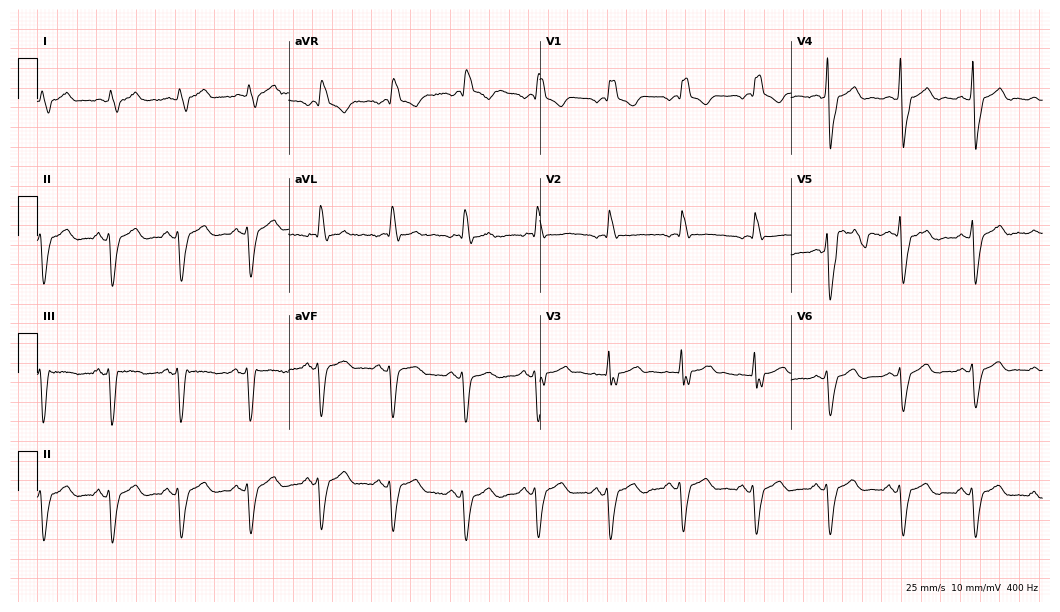
Electrocardiogram (10.2-second recording at 400 Hz), a 71-year-old male. Of the six screened findings (first-degree AV block, right bundle branch block, left bundle branch block, sinus bradycardia, atrial fibrillation, sinus tachycardia), none is recorded. Other findings, if any, are not listed.